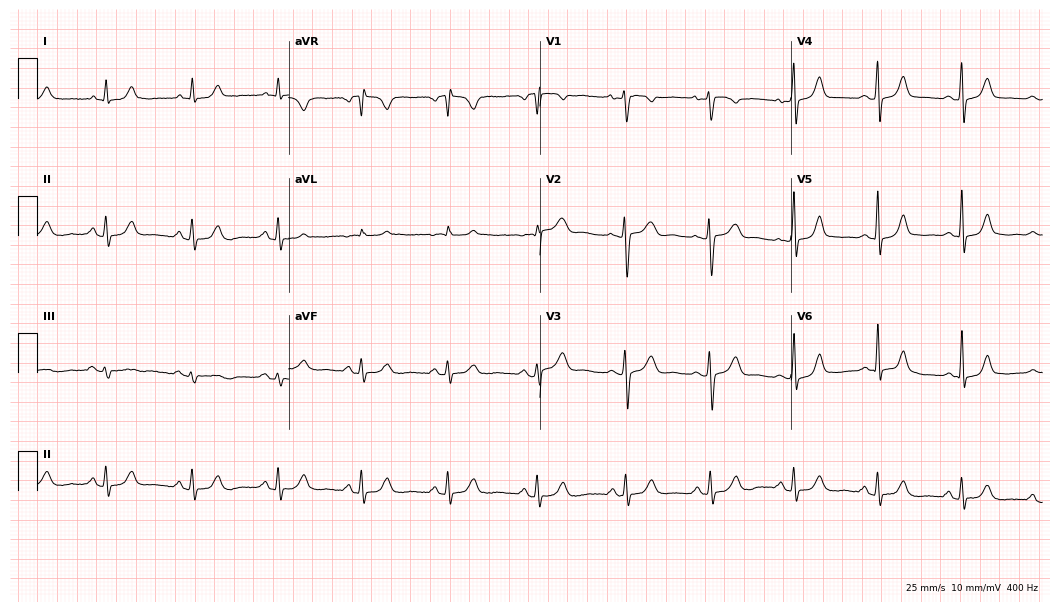
Standard 12-lead ECG recorded from a 50-year-old female patient. Read as a normal ECG.